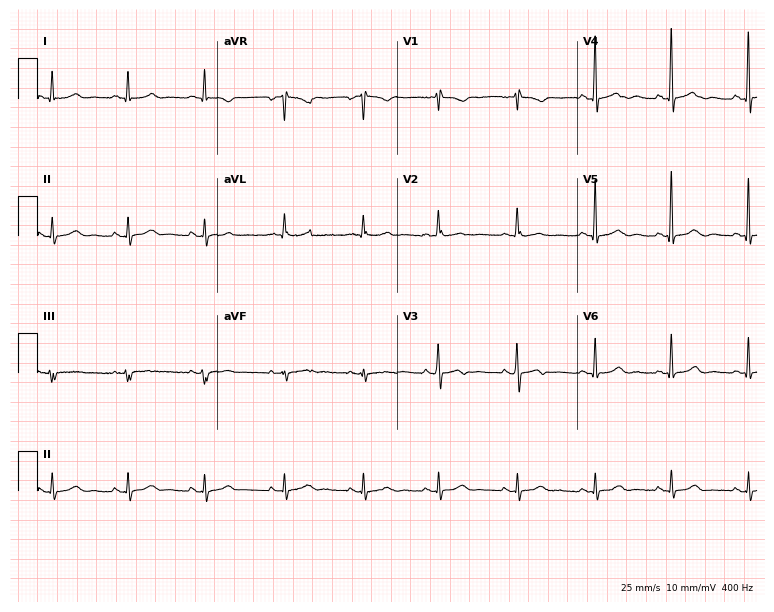
Electrocardiogram, an 80-year-old female. Of the six screened findings (first-degree AV block, right bundle branch block (RBBB), left bundle branch block (LBBB), sinus bradycardia, atrial fibrillation (AF), sinus tachycardia), none is recorded.